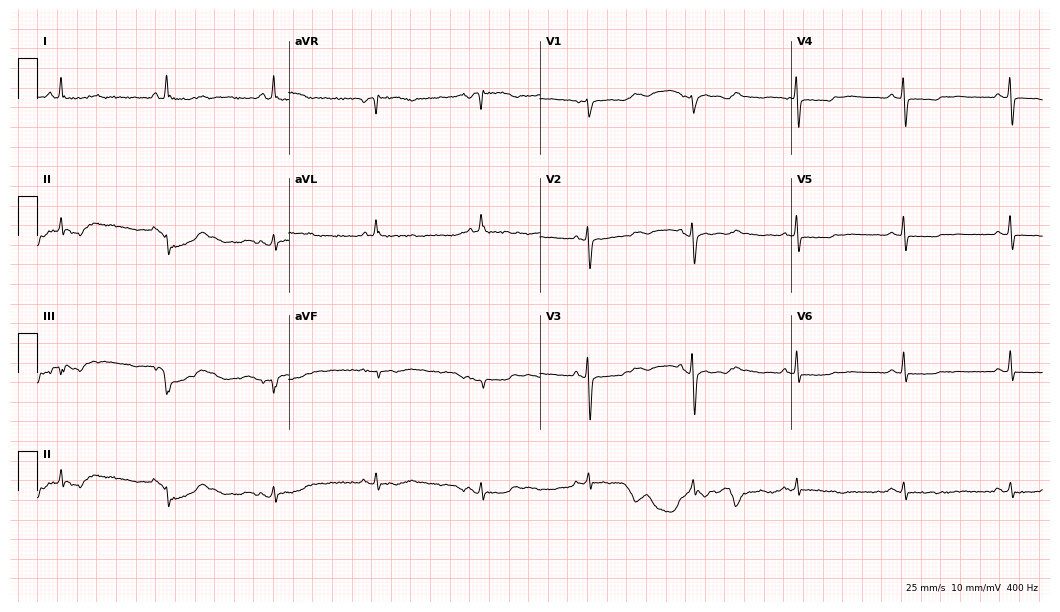
ECG (10.2-second recording at 400 Hz) — a female, 66 years old. Labelled as a normal ECG.